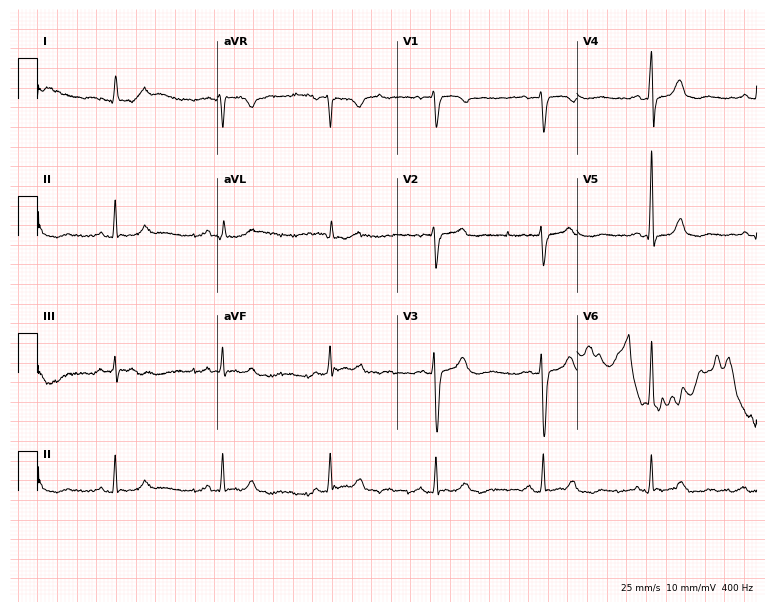
ECG — a female patient, 61 years old. Screened for six findings — first-degree AV block, right bundle branch block, left bundle branch block, sinus bradycardia, atrial fibrillation, sinus tachycardia — none is recorded. Findings outside these six are not listed.